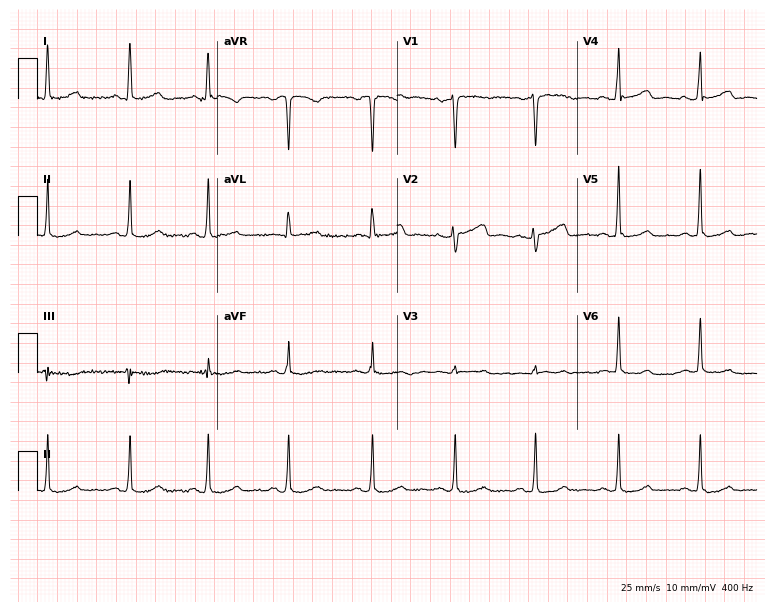
12-lead ECG from a 45-year-old female. No first-degree AV block, right bundle branch block (RBBB), left bundle branch block (LBBB), sinus bradycardia, atrial fibrillation (AF) or sinus tachycardia recorded for this tracing.